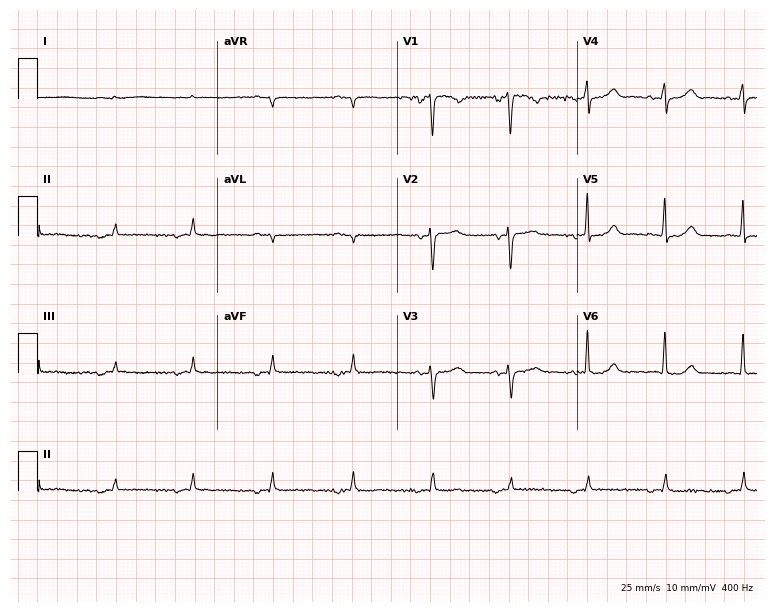
Standard 12-lead ECG recorded from a 67-year-old woman (7.3-second recording at 400 Hz). Read as a normal ECG.